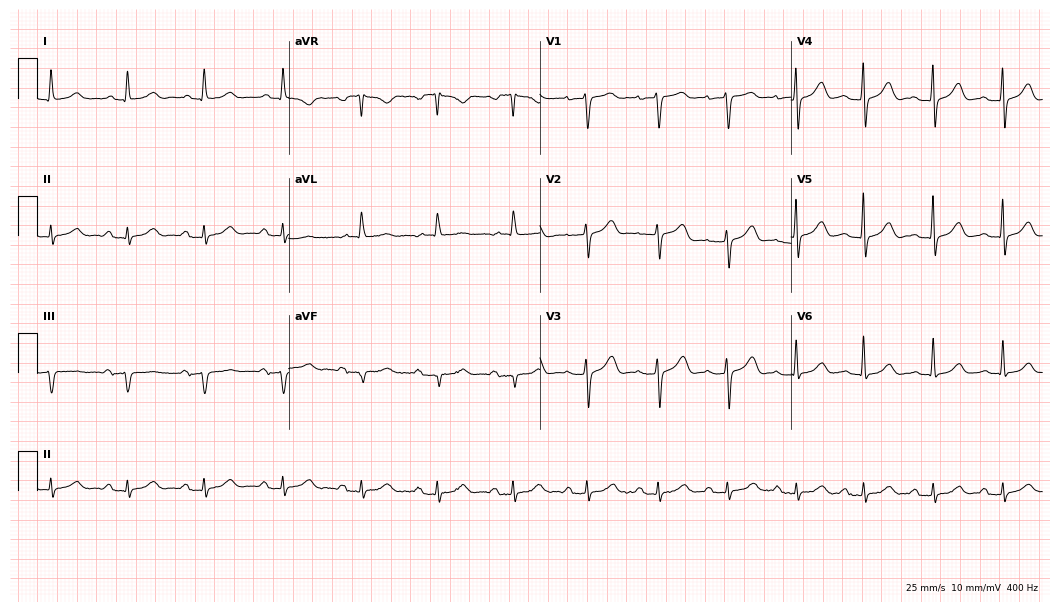
ECG (10.2-second recording at 400 Hz) — a female, 73 years old. Labelled as a normal ECG.